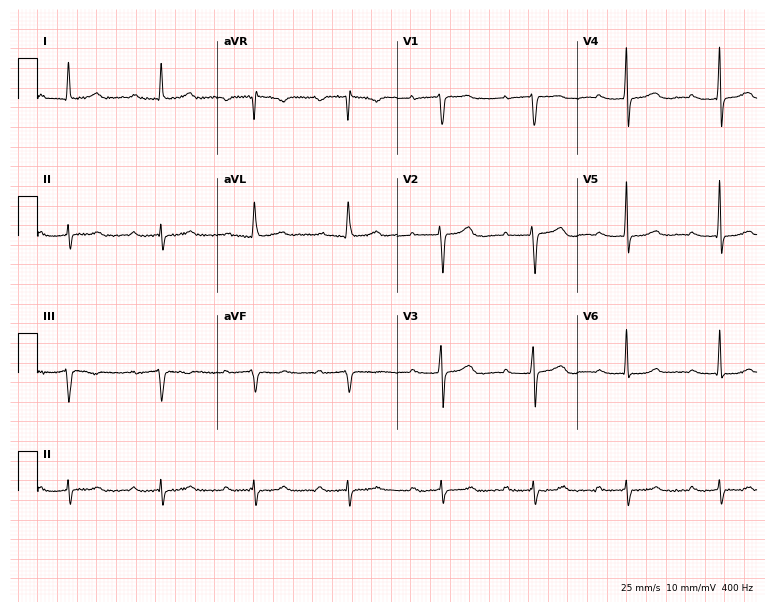
Resting 12-lead electrocardiogram. Patient: a female, 78 years old. The tracing shows first-degree AV block.